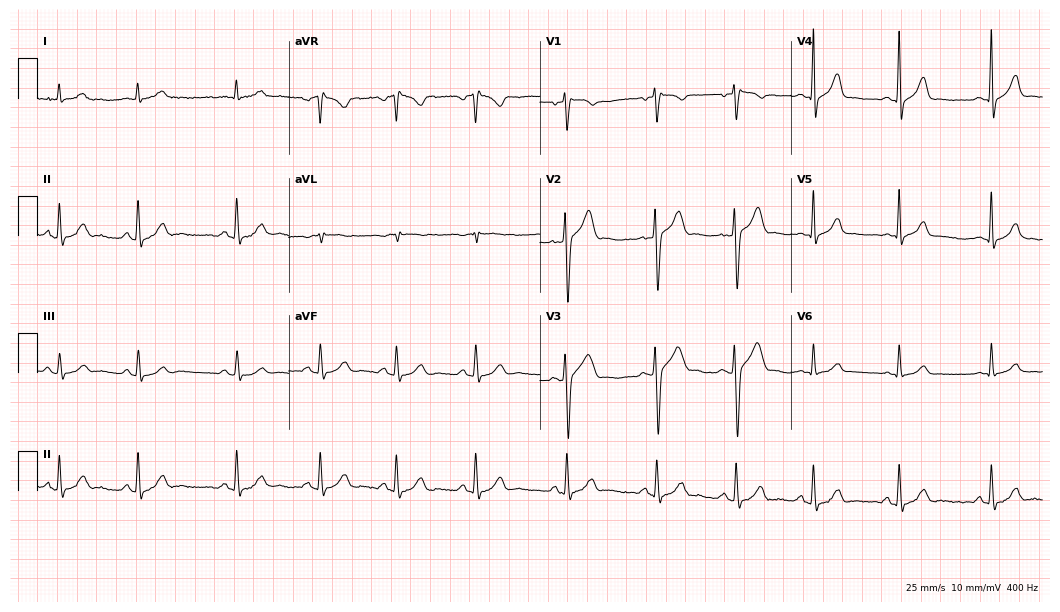
12-lead ECG from a male patient, 23 years old. Recorded interpretation: within normal limits.